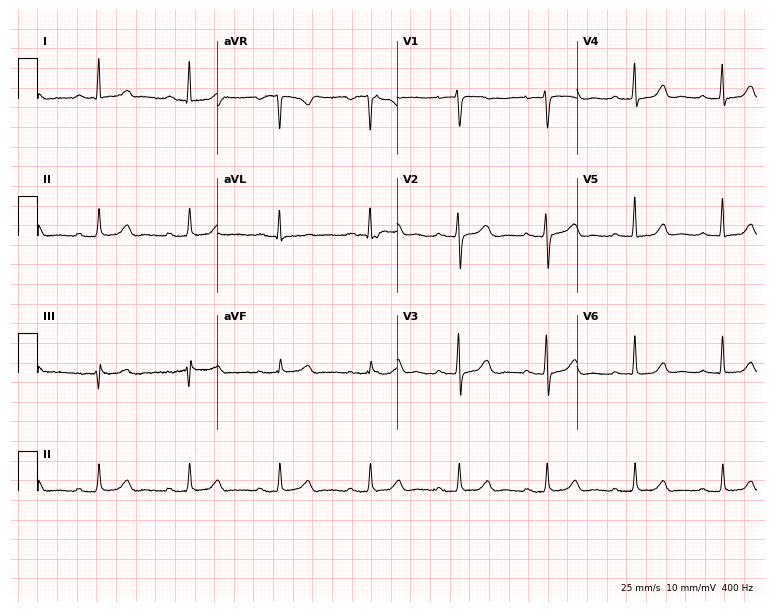
12-lead ECG (7.3-second recording at 400 Hz) from a woman, 69 years old. Labelled as a normal ECG.